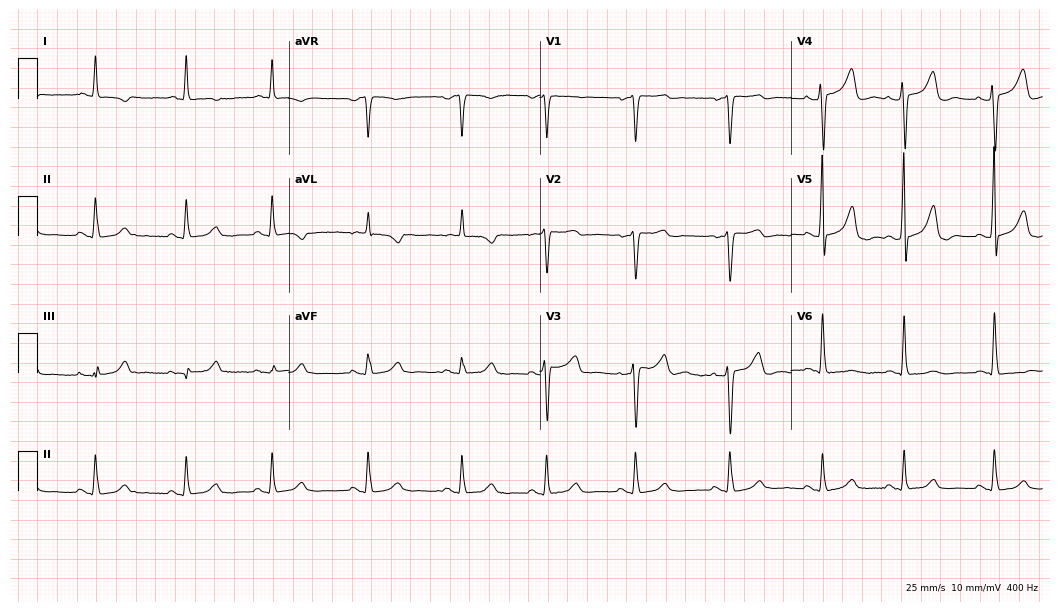
ECG — a female patient, 56 years old. Labelled as a normal ECG.